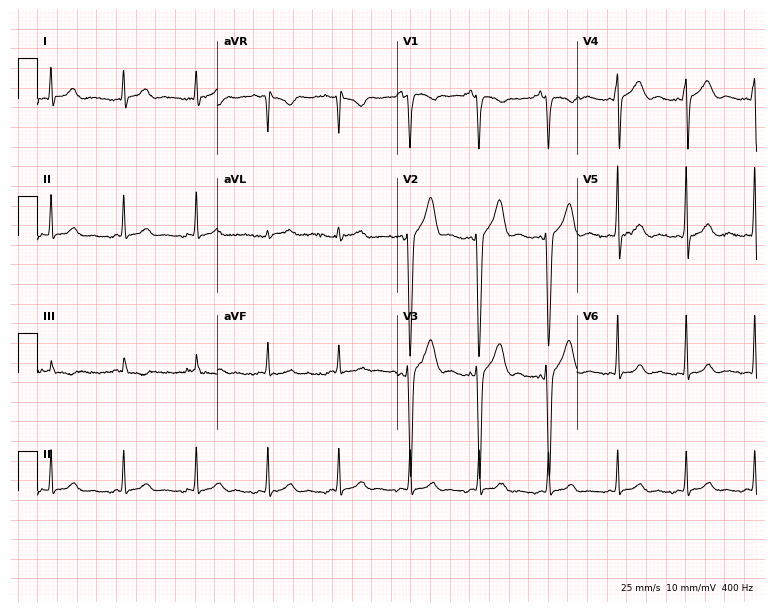
Resting 12-lead electrocardiogram. Patient: a male, 19 years old. None of these six findings is recorded: first-degree AV block, right bundle branch block, left bundle branch block, sinus bradycardia, atrial fibrillation, sinus tachycardia. Findings outside these six are not listed.